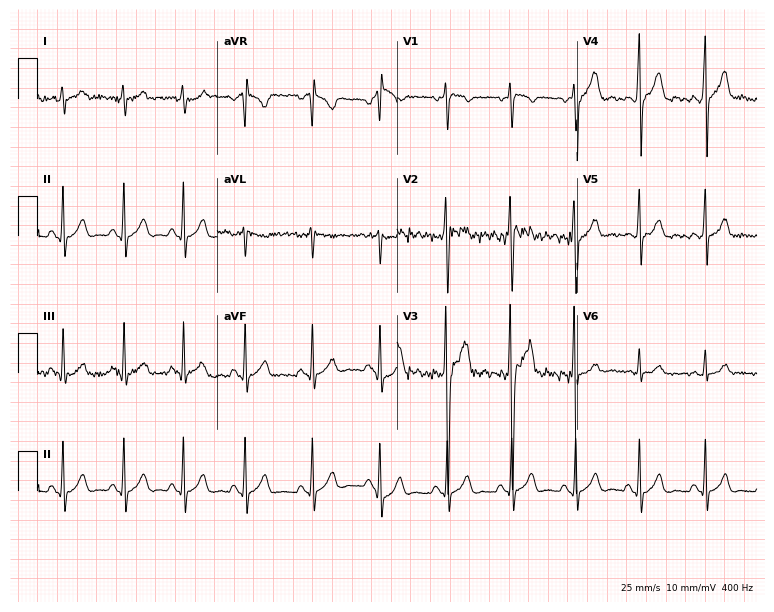
12-lead ECG (7.3-second recording at 400 Hz) from a male patient, 17 years old. Labelled as a normal ECG.